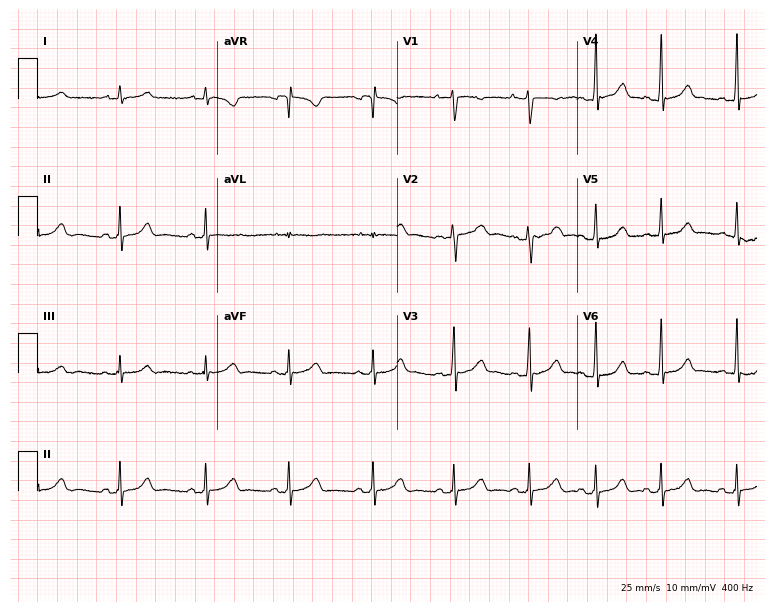
ECG (7.3-second recording at 400 Hz) — a female patient, 17 years old. Labelled as a normal ECG.